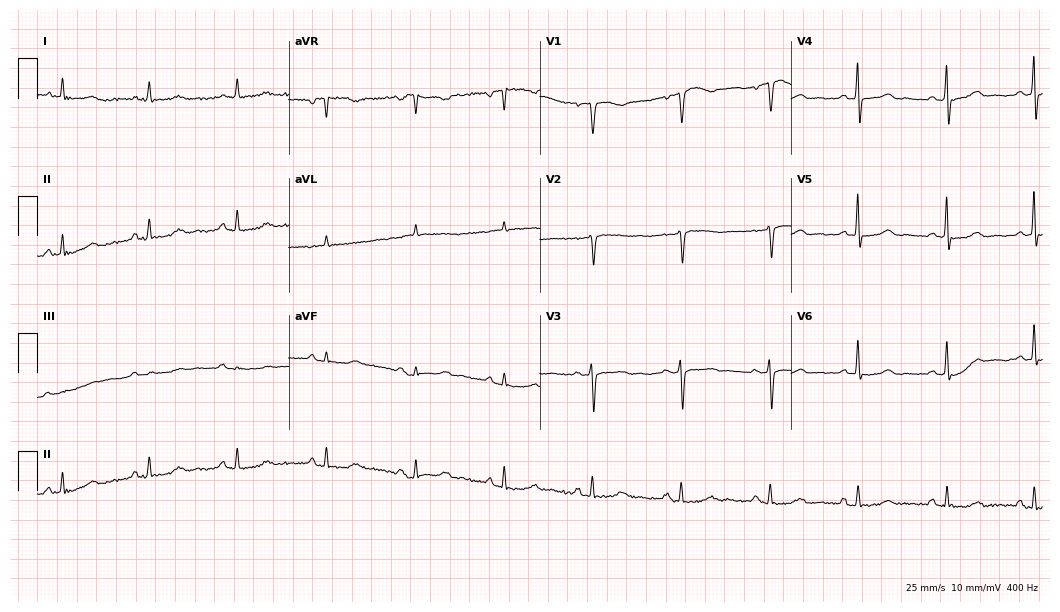
Resting 12-lead electrocardiogram (10.2-second recording at 400 Hz). Patient: a female, 76 years old. None of these six findings is recorded: first-degree AV block, right bundle branch block (RBBB), left bundle branch block (LBBB), sinus bradycardia, atrial fibrillation (AF), sinus tachycardia. Findings outside these six are not listed.